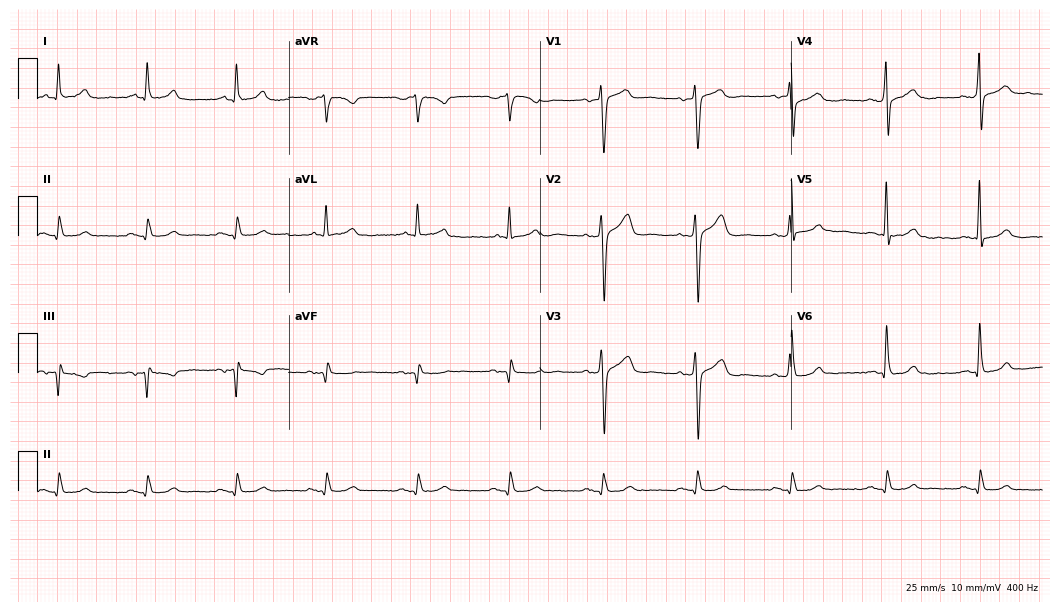
ECG (10.2-second recording at 400 Hz) — a male patient, 51 years old. Screened for six findings — first-degree AV block, right bundle branch block, left bundle branch block, sinus bradycardia, atrial fibrillation, sinus tachycardia — none is recorded.